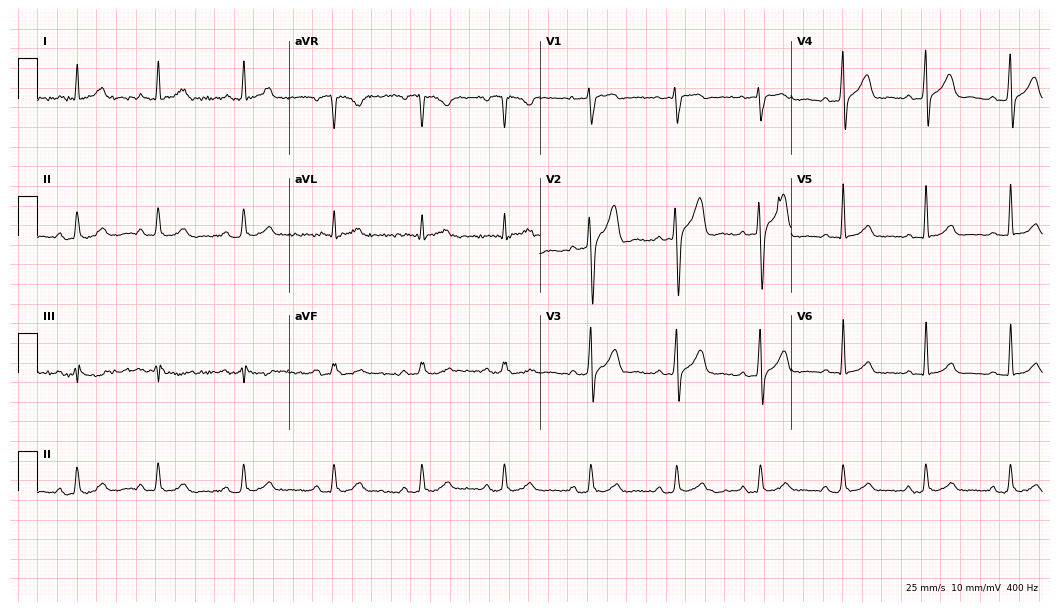
12-lead ECG from a man, 38 years old. No first-degree AV block, right bundle branch block, left bundle branch block, sinus bradycardia, atrial fibrillation or sinus tachycardia recorded for this tracing. Findings outside these six are not listed.